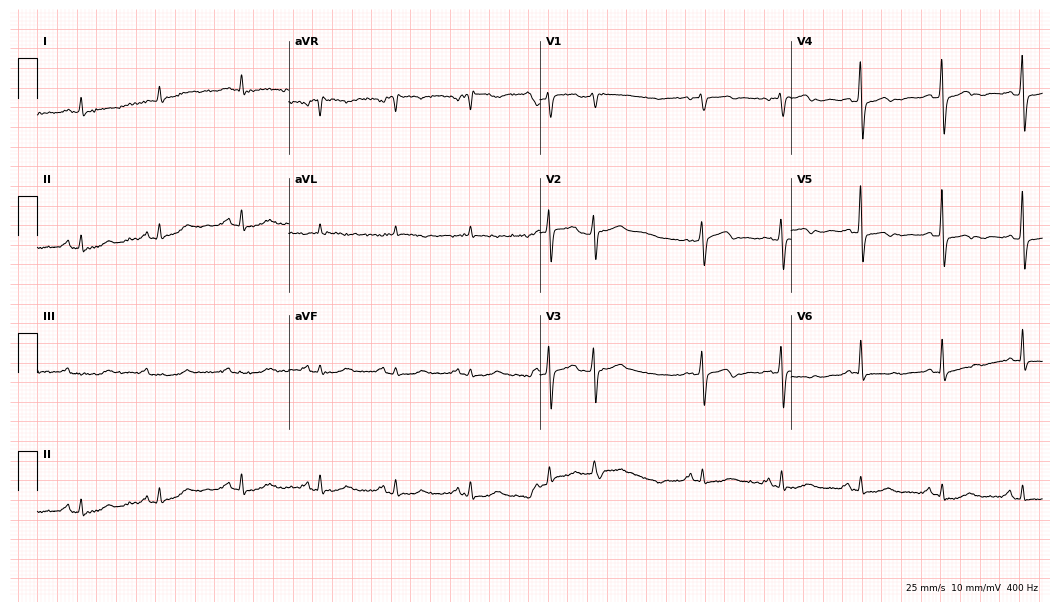
Electrocardiogram, a female, 67 years old. Overall reading on record: normal ECG.